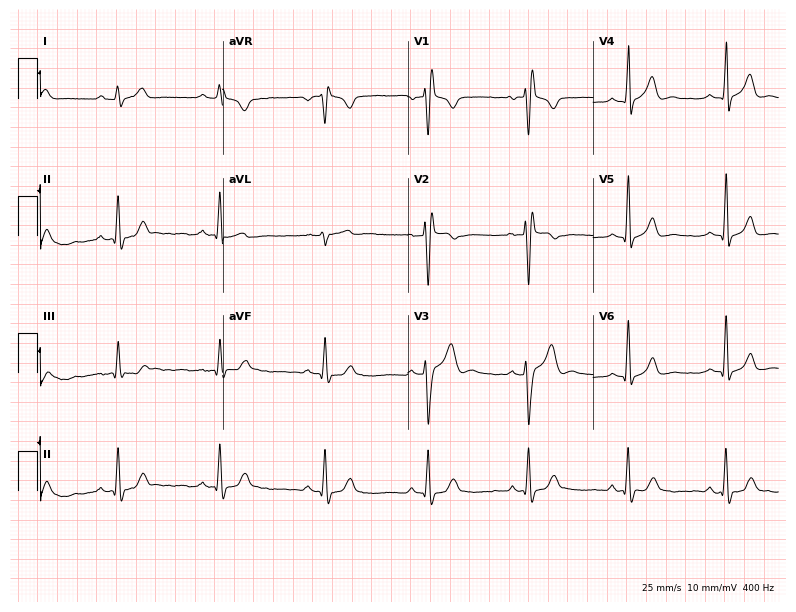
ECG (7.6-second recording at 400 Hz) — a man, 25 years old. Findings include right bundle branch block.